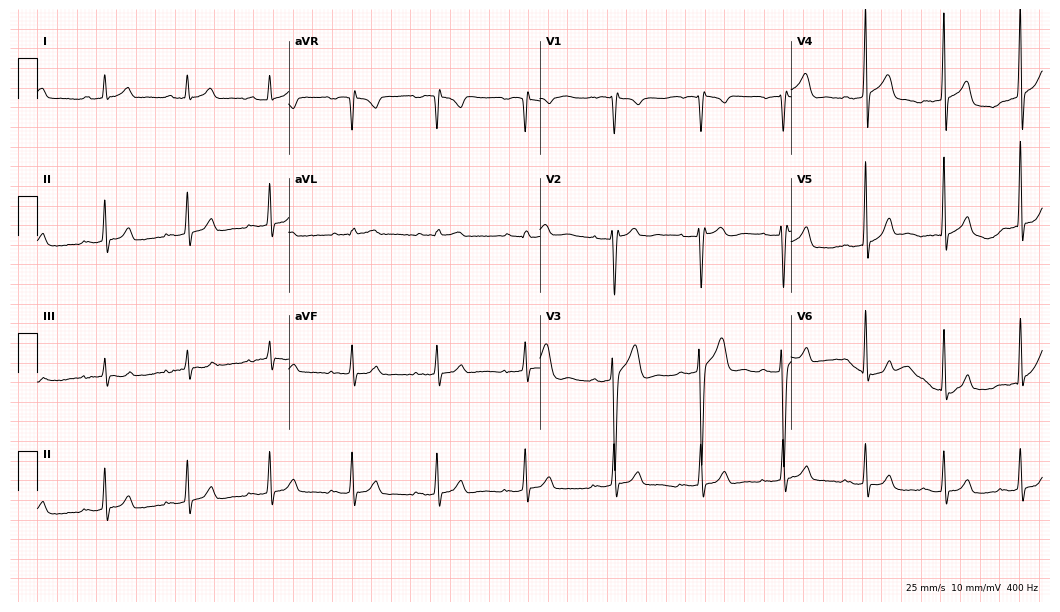
ECG — a male patient, 17 years old. Screened for six findings — first-degree AV block, right bundle branch block, left bundle branch block, sinus bradycardia, atrial fibrillation, sinus tachycardia — none is recorded.